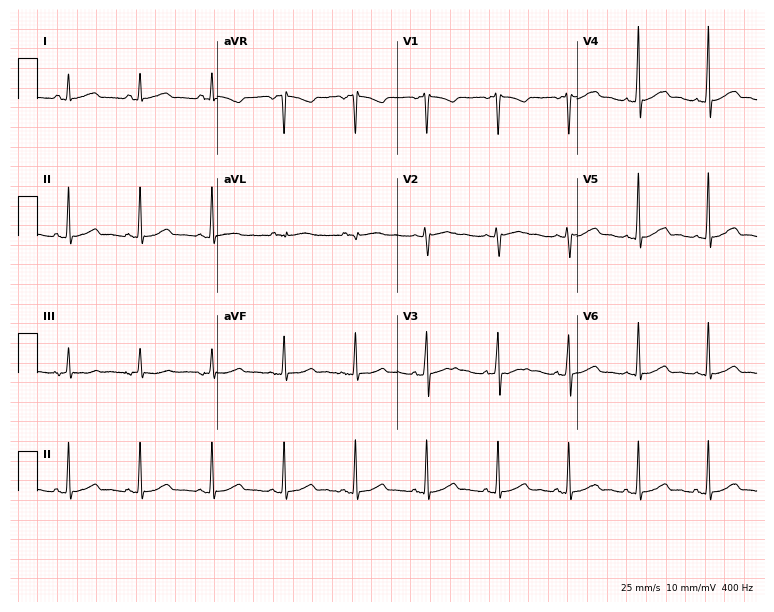
Standard 12-lead ECG recorded from a 38-year-old female (7.3-second recording at 400 Hz). Read as a normal ECG.